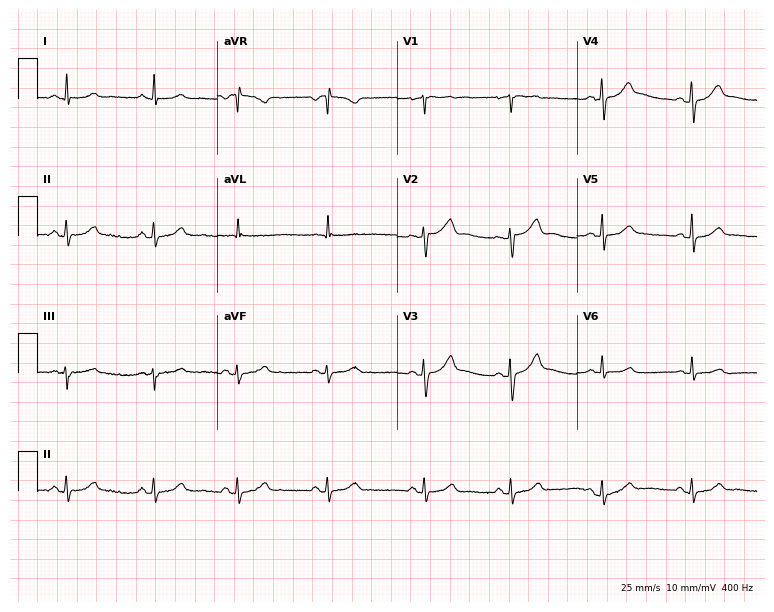
Standard 12-lead ECG recorded from a 31-year-old female. Read as a normal ECG.